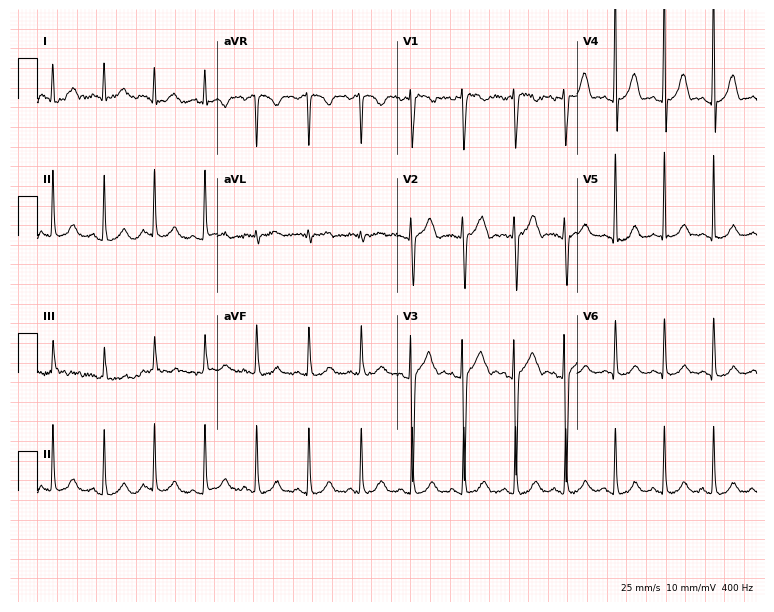
12-lead ECG from a man, 22 years old (7.3-second recording at 400 Hz). No first-degree AV block, right bundle branch block, left bundle branch block, sinus bradycardia, atrial fibrillation or sinus tachycardia recorded for this tracing.